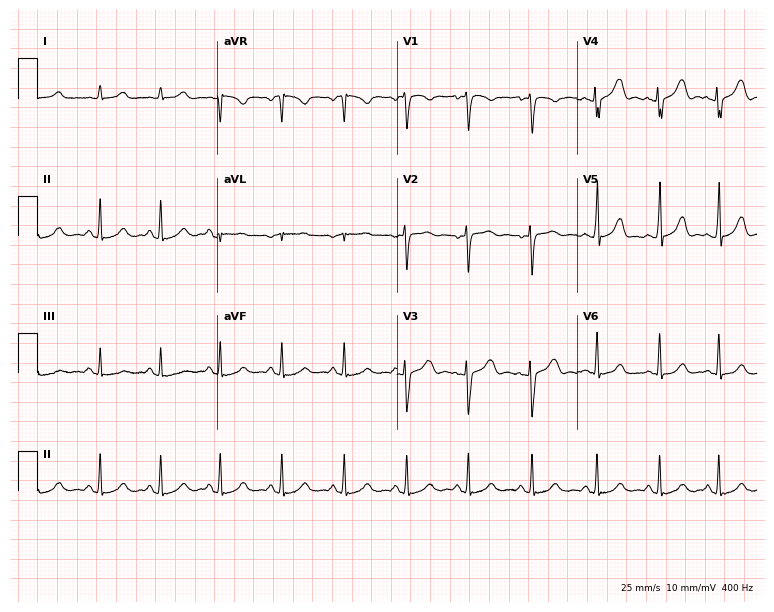
ECG — a 28-year-old female patient. Screened for six findings — first-degree AV block, right bundle branch block, left bundle branch block, sinus bradycardia, atrial fibrillation, sinus tachycardia — none is recorded.